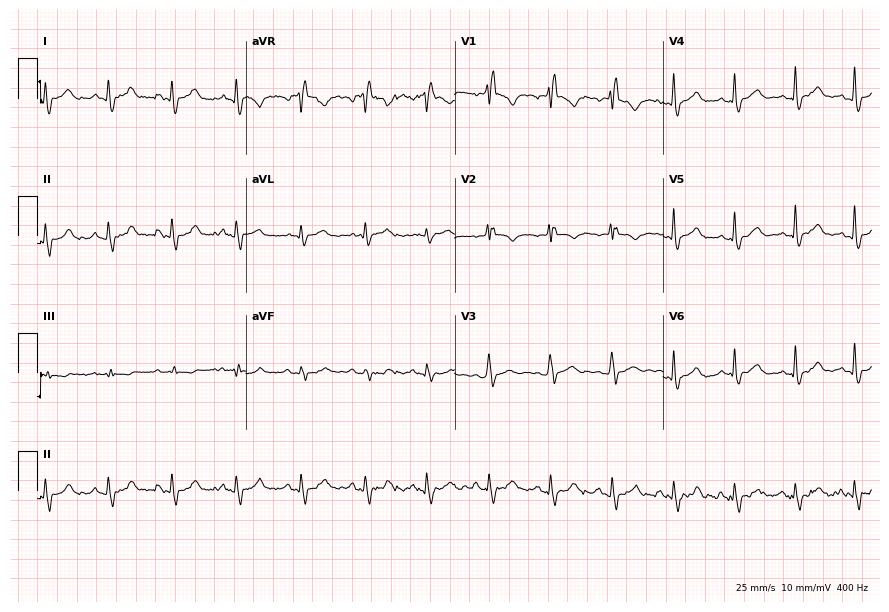
ECG (8.5-second recording at 400 Hz) — a man, 45 years old. Screened for six findings — first-degree AV block, right bundle branch block (RBBB), left bundle branch block (LBBB), sinus bradycardia, atrial fibrillation (AF), sinus tachycardia — none is recorded. Findings outside these six are not listed.